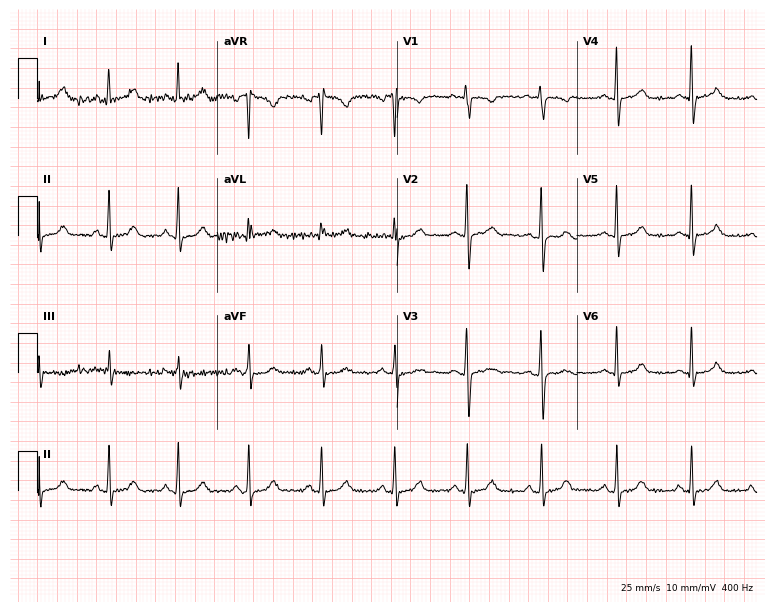
Standard 12-lead ECG recorded from a female patient, 26 years old. Read as a normal ECG.